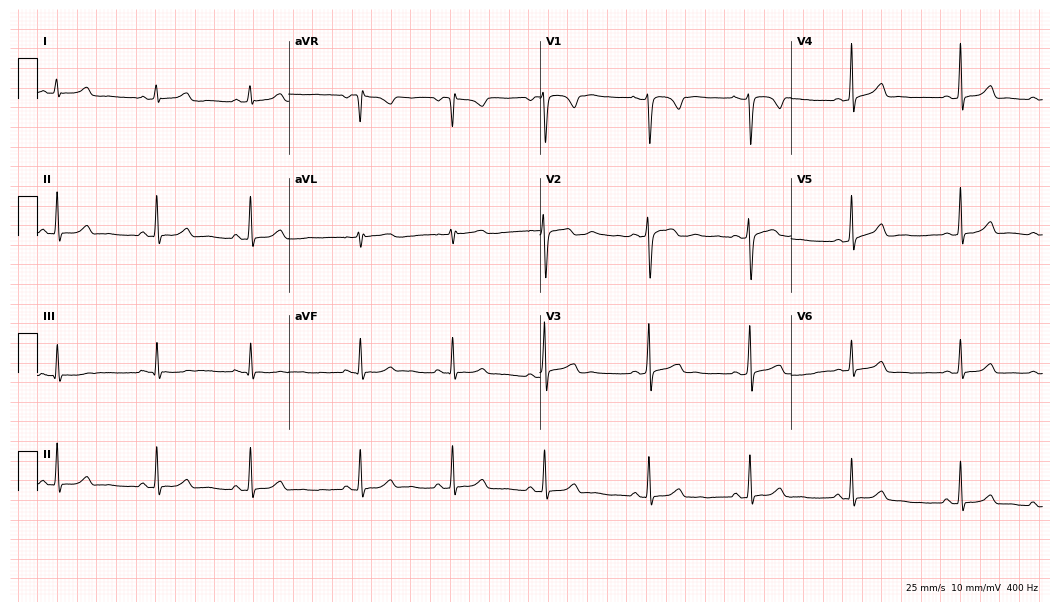
Standard 12-lead ECG recorded from a female, 24 years old (10.2-second recording at 400 Hz). None of these six findings is recorded: first-degree AV block, right bundle branch block, left bundle branch block, sinus bradycardia, atrial fibrillation, sinus tachycardia. Other findings, if any, are not listed.